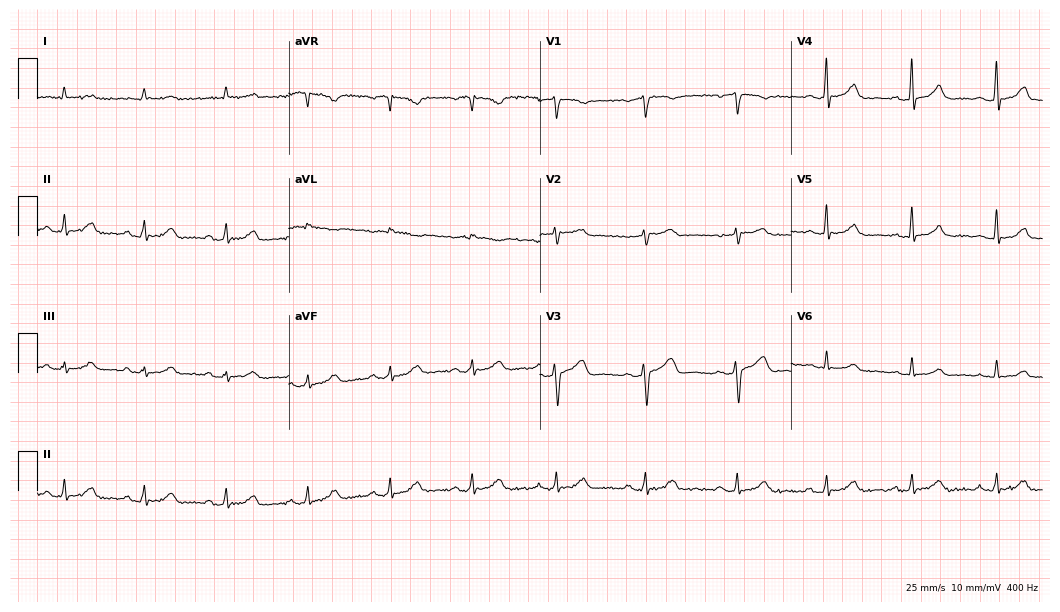
Resting 12-lead electrocardiogram. Patient: a 59-year-old woman. Read as a normal ECG.